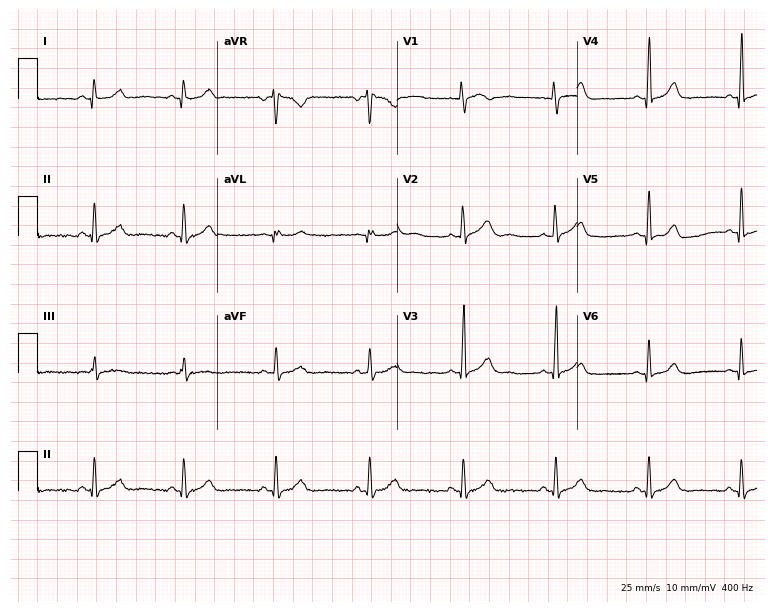
ECG (7.3-second recording at 400 Hz) — a 28-year-old woman. Labelled as a normal ECG.